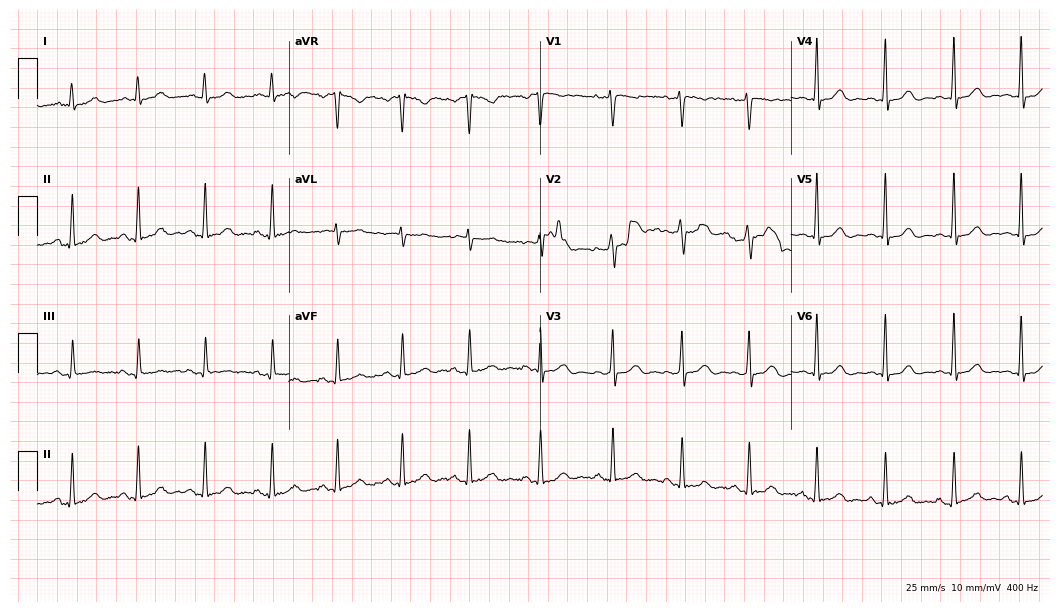
Electrocardiogram, a female patient, 41 years old. Overall reading on record: normal ECG.